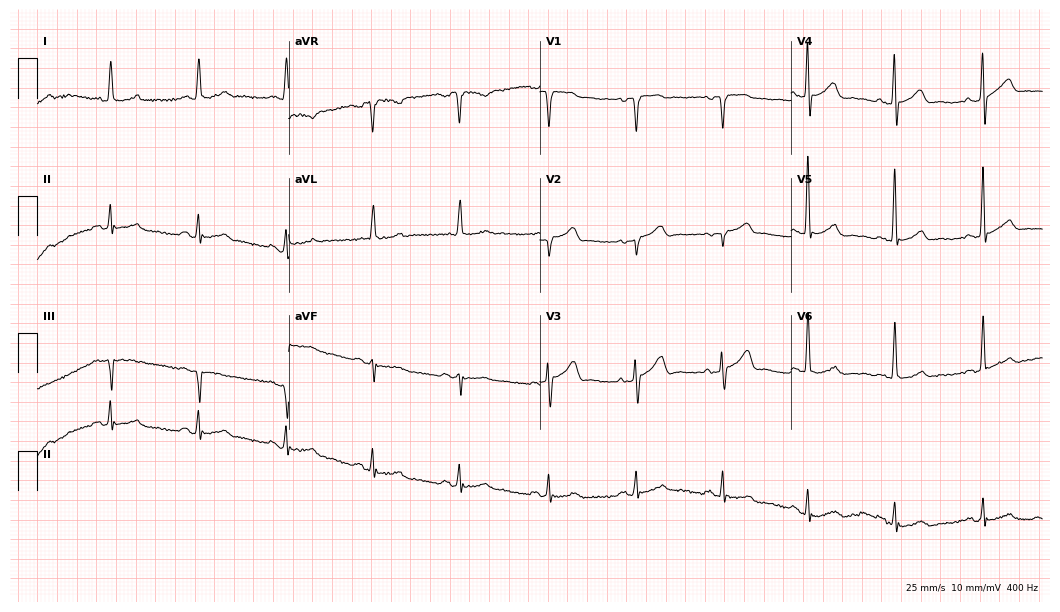
12-lead ECG from a 67-year-old man (10.2-second recording at 400 Hz). No first-degree AV block, right bundle branch block, left bundle branch block, sinus bradycardia, atrial fibrillation or sinus tachycardia recorded for this tracing.